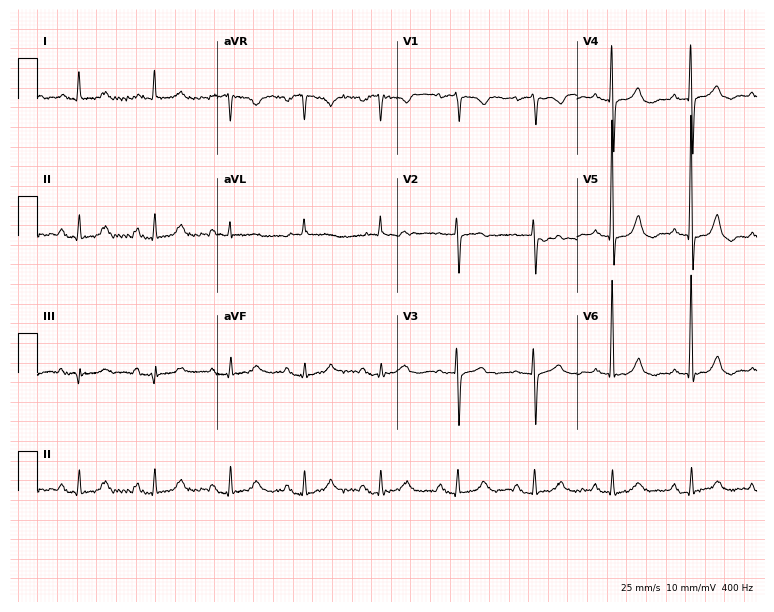
Electrocardiogram, a woman, 81 years old. Of the six screened findings (first-degree AV block, right bundle branch block, left bundle branch block, sinus bradycardia, atrial fibrillation, sinus tachycardia), none is recorded. Findings outside these six are not listed.